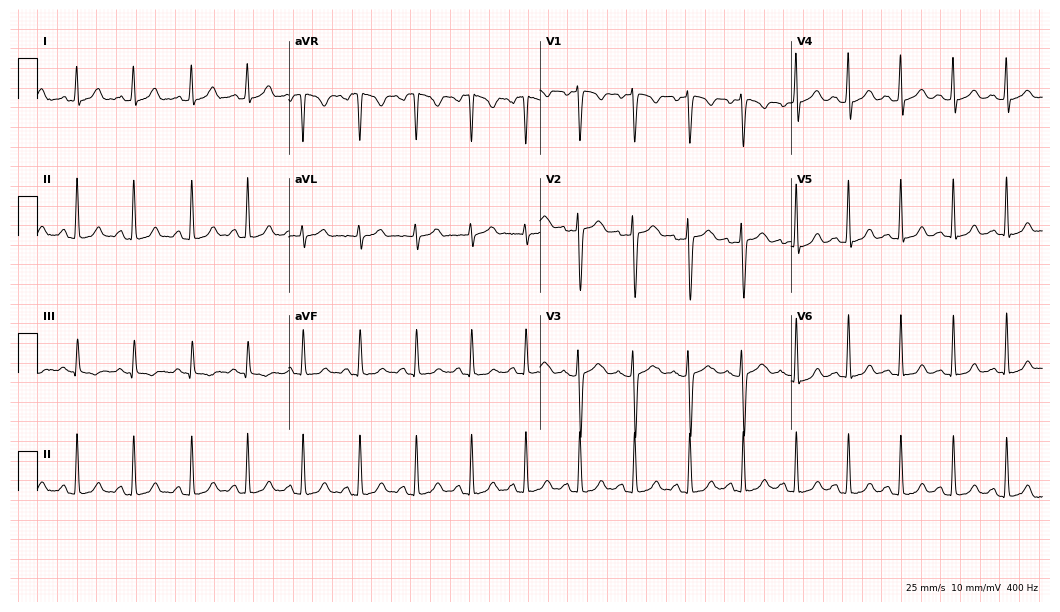
Standard 12-lead ECG recorded from a woman, 28 years old (10.2-second recording at 400 Hz). The tracing shows sinus tachycardia (a sinus rate of 100 beats per minute or more).